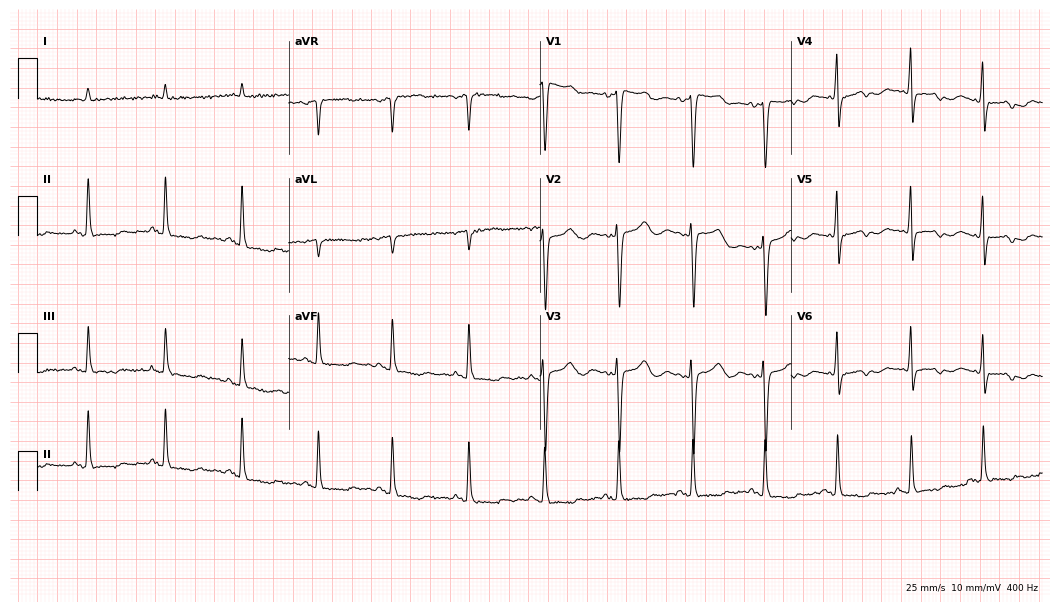
12-lead ECG from a female, 78 years old (10.2-second recording at 400 Hz). No first-degree AV block, right bundle branch block, left bundle branch block, sinus bradycardia, atrial fibrillation or sinus tachycardia recorded for this tracing. Findings outside these six are not listed.